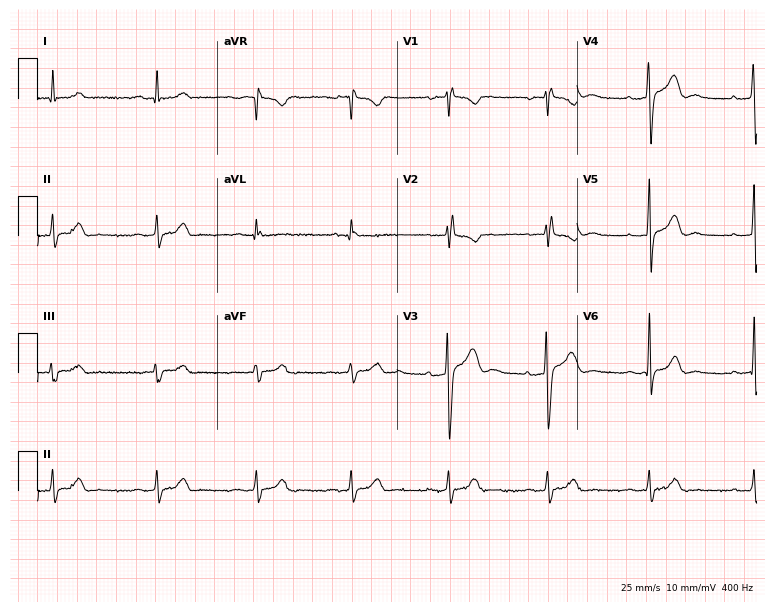
Electrocardiogram (7.3-second recording at 400 Hz), a 41-year-old male. Of the six screened findings (first-degree AV block, right bundle branch block (RBBB), left bundle branch block (LBBB), sinus bradycardia, atrial fibrillation (AF), sinus tachycardia), none is recorded. Only these six findings were labelled.